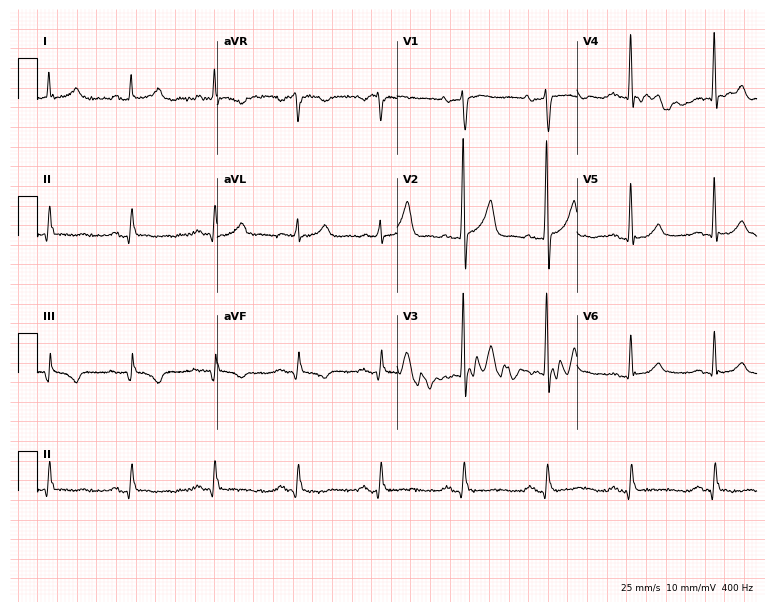
12-lead ECG (7.3-second recording at 400 Hz) from a male, 62 years old. Screened for six findings — first-degree AV block, right bundle branch block, left bundle branch block, sinus bradycardia, atrial fibrillation, sinus tachycardia — none is recorded.